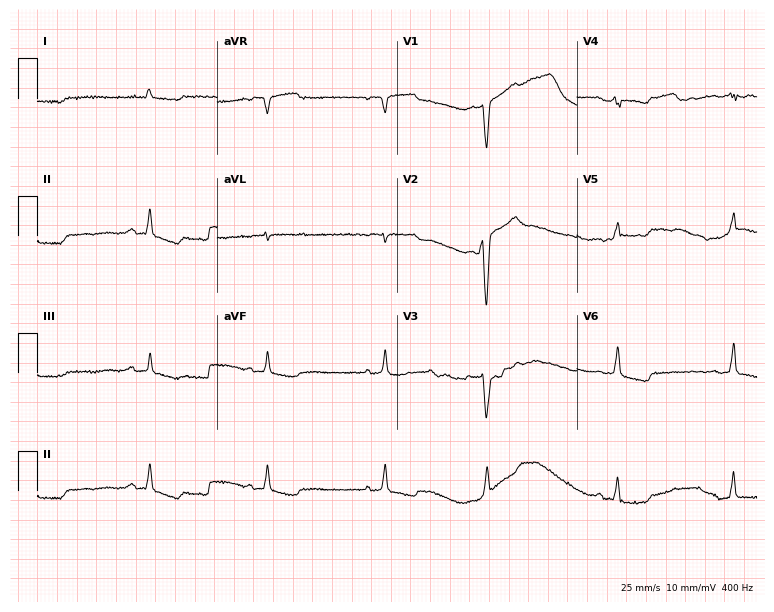
Resting 12-lead electrocardiogram. Patient: an 80-year-old female. None of these six findings is recorded: first-degree AV block, right bundle branch block, left bundle branch block, sinus bradycardia, atrial fibrillation, sinus tachycardia. Only these six findings were labelled.